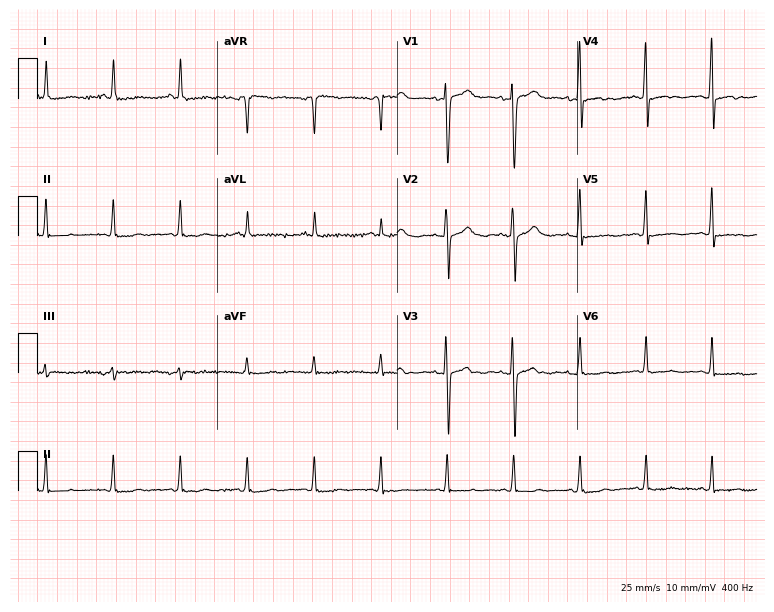
ECG (7.3-second recording at 400 Hz) — a 68-year-old woman. Labelled as a normal ECG.